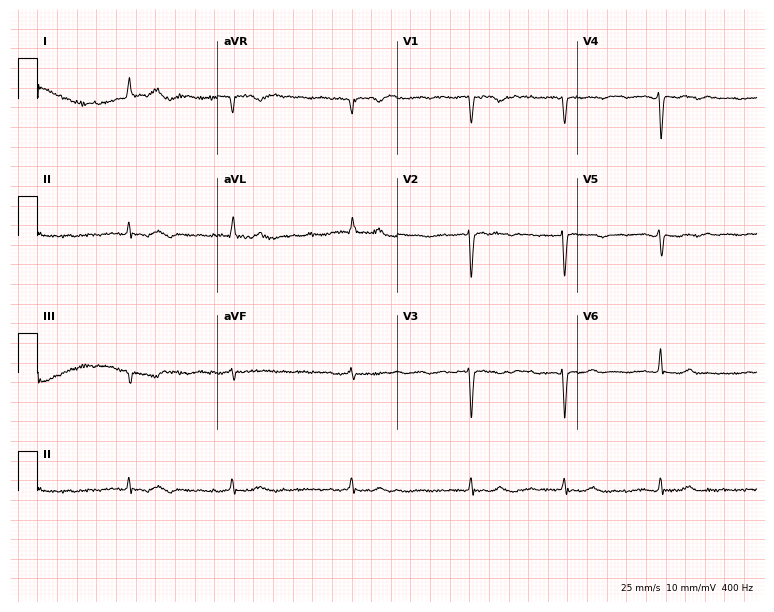
Electrocardiogram, a female, 74 years old. Interpretation includes atrial fibrillation.